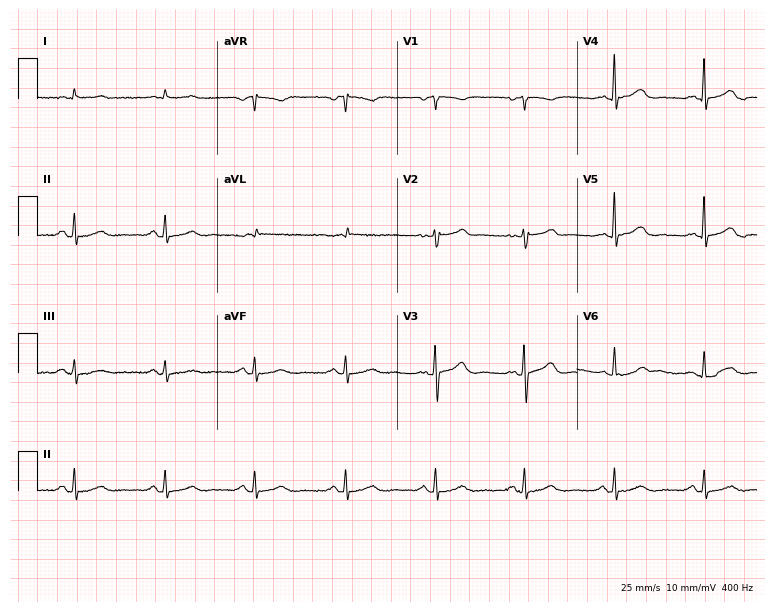
Resting 12-lead electrocardiogram. Patient: a male, 76 years old. Read as a normal ECG.